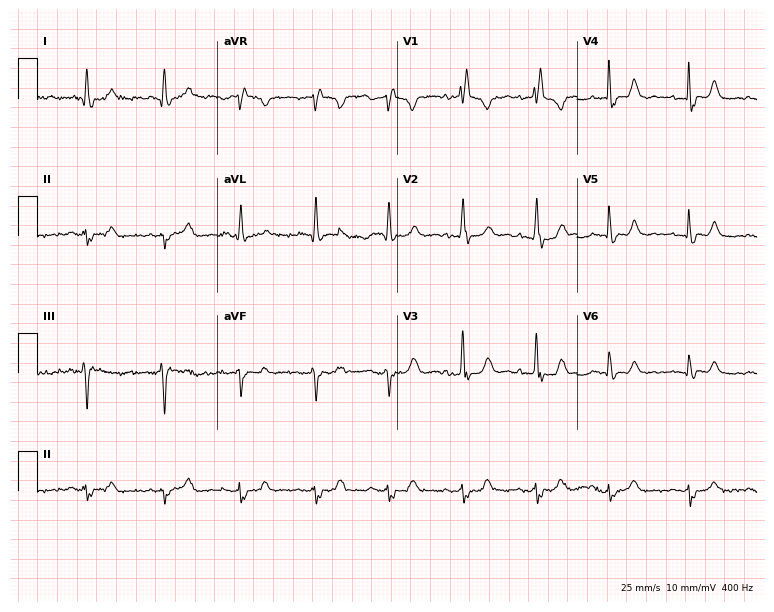
Electrocardiogram (7.3-second recording at 400 Hz), a 72-year-old man. Interpretation includes right bundle branch block (RBBB), left bundle branch block (LBBB).